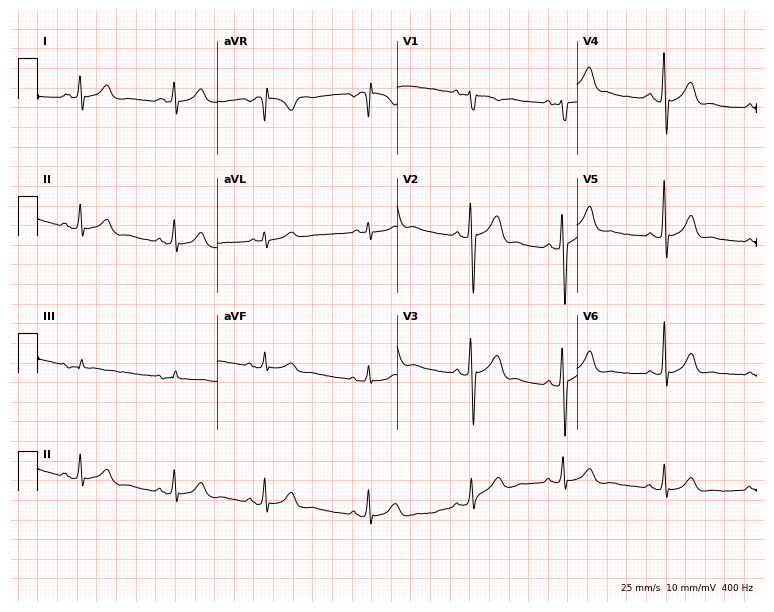
ECG — a male patient, 24 years old. Screened for six findings — first-degree AV block, right bundle branch block, left bundle branch block, sinus bradycardia, atrial fibrillation, sinus tachycardia — none is recorded.